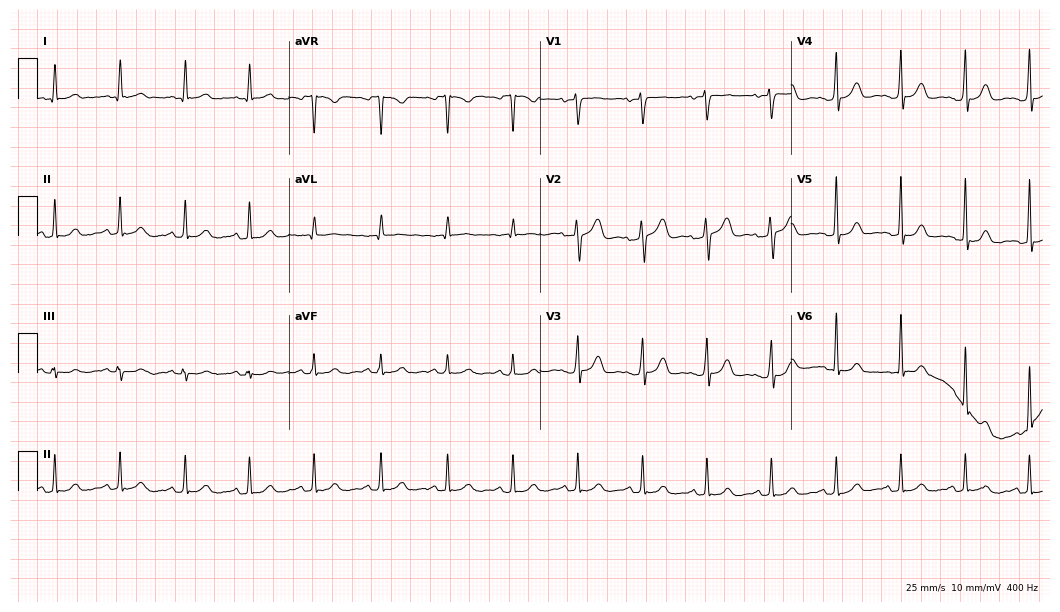
Resting 12-lead electrocardiogram. Patient: a female, 58 years old. Read as a normal ECG.